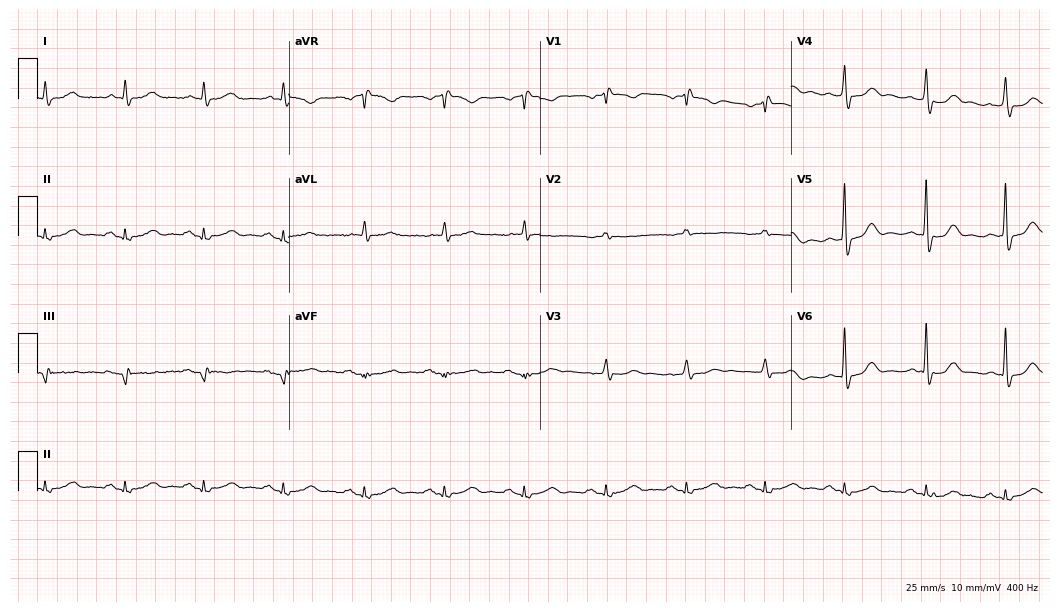
Electrocardiogram (10.2-second recording at 400 Hz), a man, 71 years old. Of the six screened findings (first-degree AV block, right bundle branch block, left bundle branch block, sinus bradycardia, atrial fibrillation, sinus tachycardia), none is recorded.